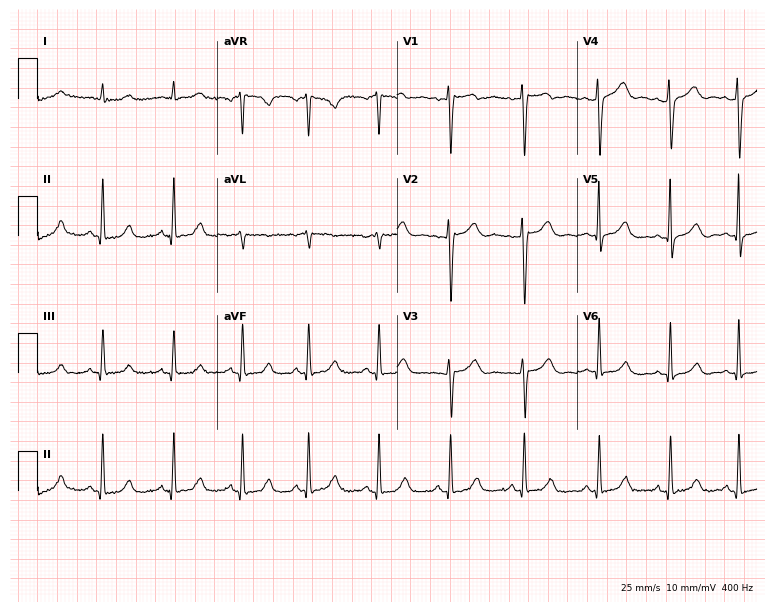
Resting 12-lead electrocardiogram. Patient: a 45-year-old female. None of these six findings is recorded: first-degree AV block, right bundle branch block, left bundle branch block, sinus bradycardia, atrial fibrillation, sinus tachycardia.